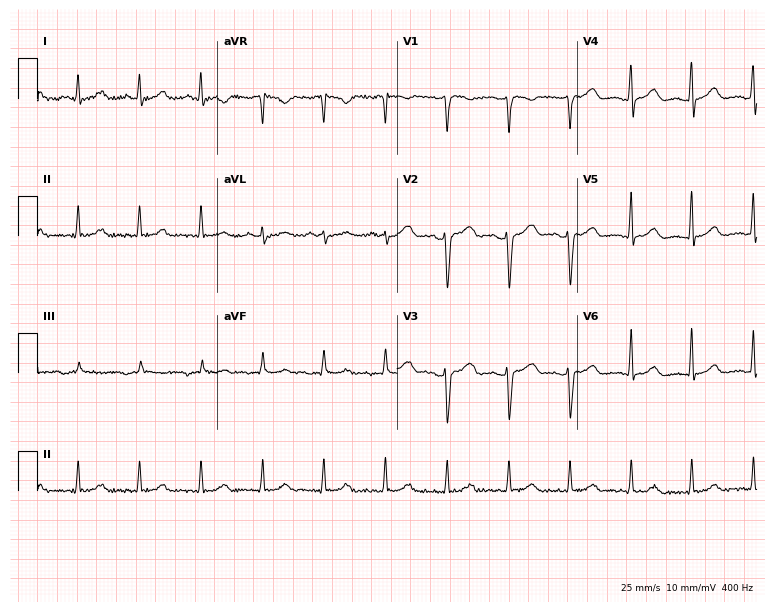
Resting 12-lead electrocardiogram. Patient: a 47-year-old female. None of these six findings is recorded: first-degree AV block, right bundle branch block, left bundle branch block, sinus bradycardia, atrial fibrillation, sinus tachycardia.